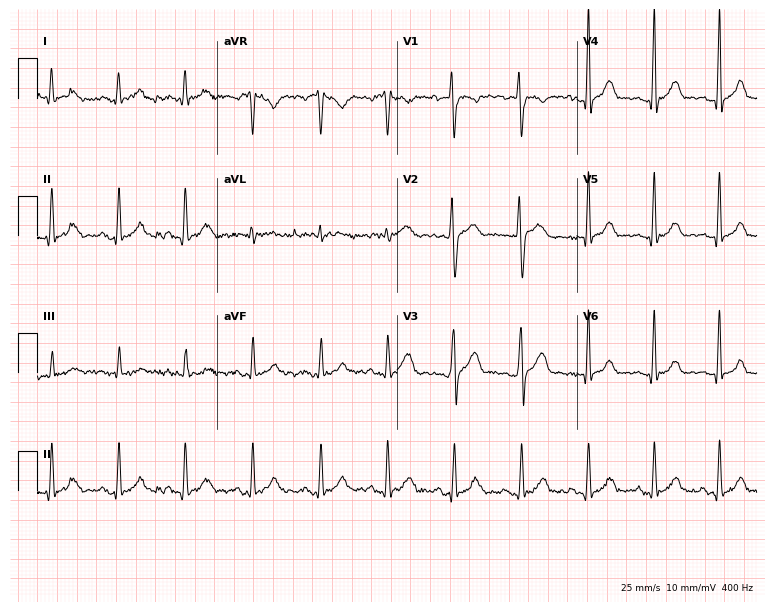
Resting 12-lead electrocardiogram (7.3-second recording at 400 Hz). Patient: a male, 32 years old. Read as a normal ECG.